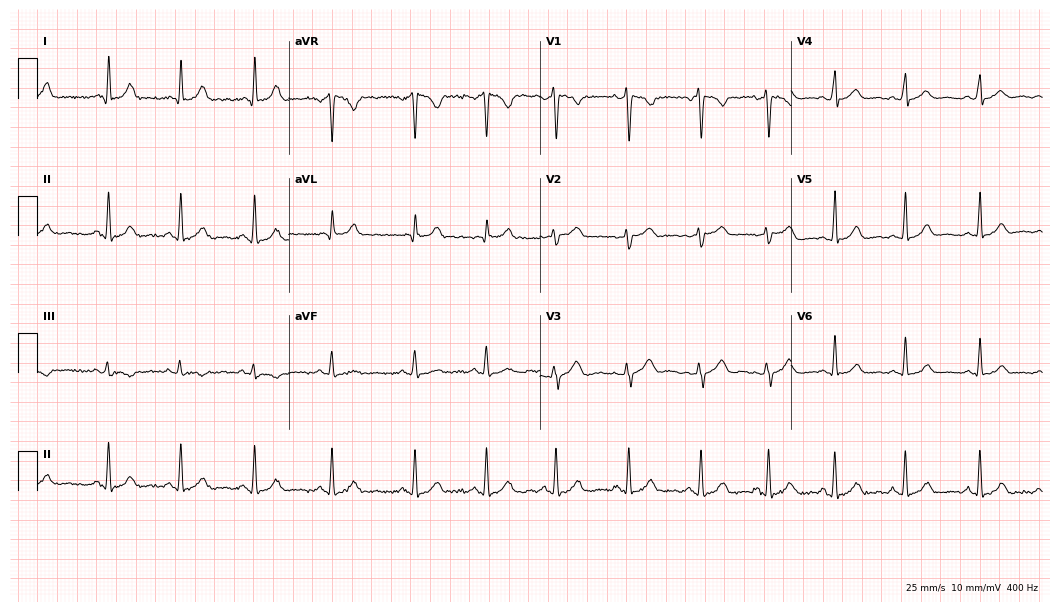
Electrocardiogram, a woman, 32 years old. Overall reading on record: normal ECG.